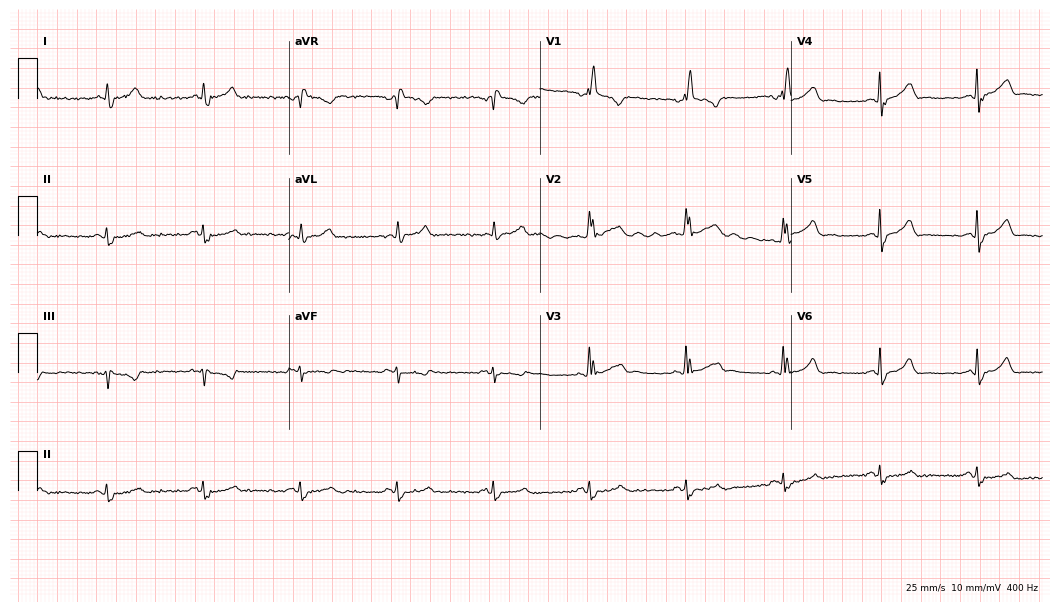
12-lead ECG (10.2-second recording at 400 Hz) from a man, 52 years old. Screened for six findings — first-degree AV block, right bundle branch block (RBBB), left bundle branch block (LBBB), sinus bradycardia, atrial fibrillation (AF), sinus tachycardia — none is recorded.